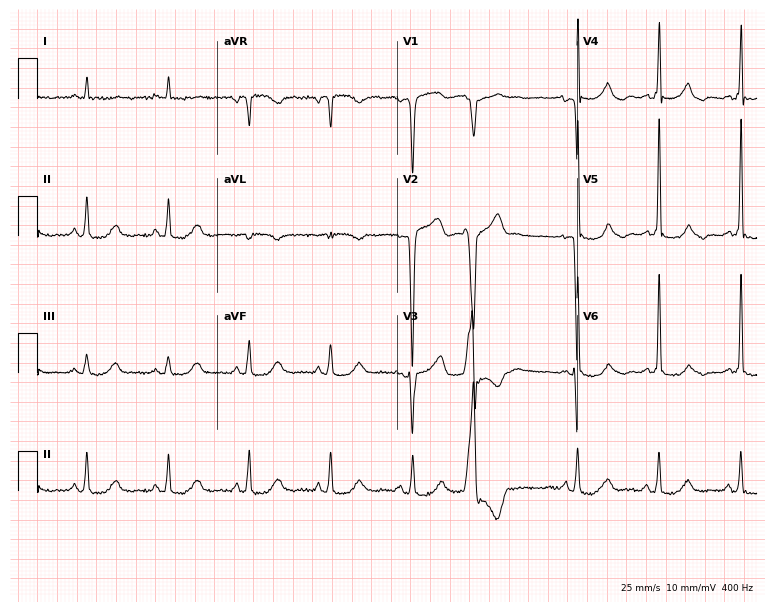
Electrocardiogram (7.3-second recording at 400 Hz), an 81-year-old female patient. Of the six screened findings (first-degree AV block, right bundle branch block (RBBB), left bundle branch block (LBBB), sinus bradycardia, atrial fibrillation (AF), sinus tachycardia), none is recorded.